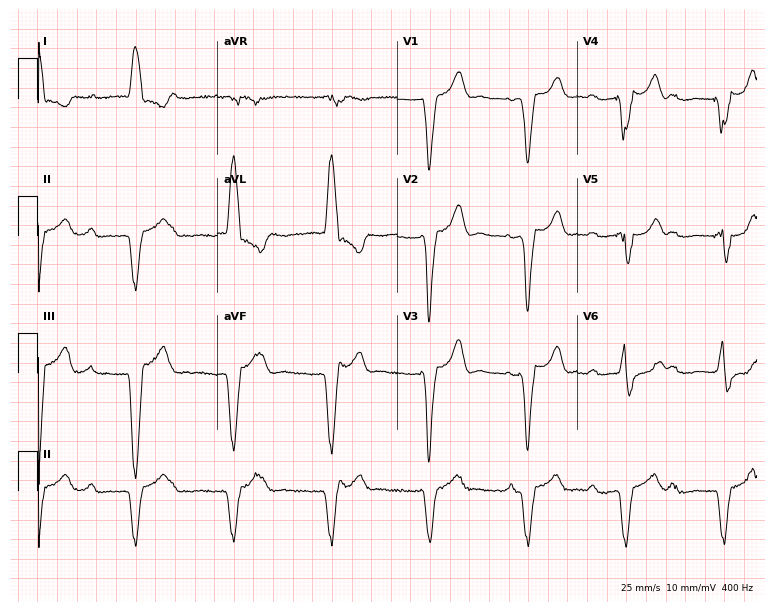
Electrocardiogram, a 77-year-old female. Of the six screened findings (first-degree AV block, right bundle branch block, left bundle branch block, sinus bradycardia, atrial fibrillation, sinus tachycardia), none is recorded. Other findings, if any, are not listed.